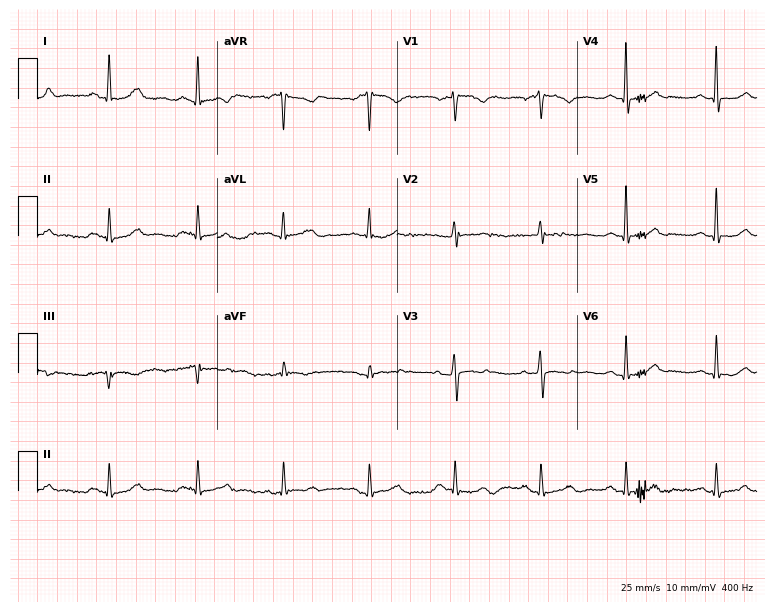
12-lead ECG from a 48-year-old female. Recorded interpretation: within normal limits.